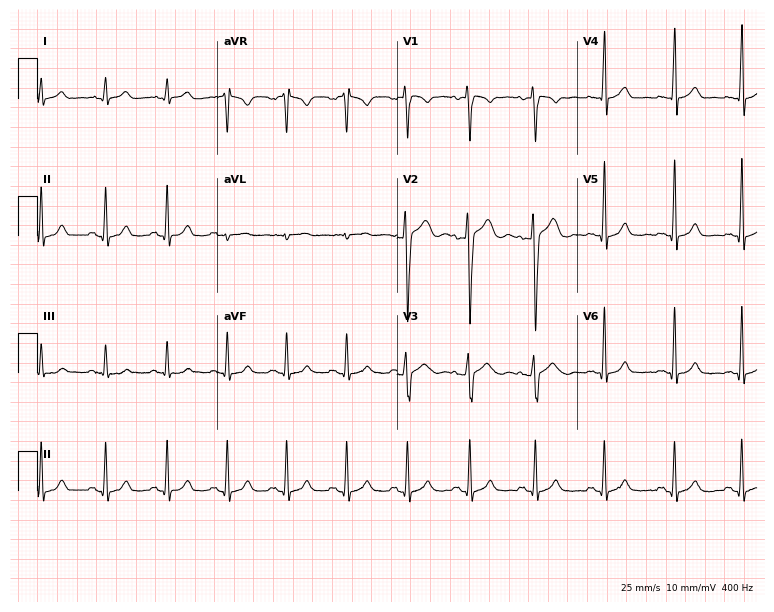
Standard 12-lead ECG recorded from a 25-year-old man. Read as a normal ECG.